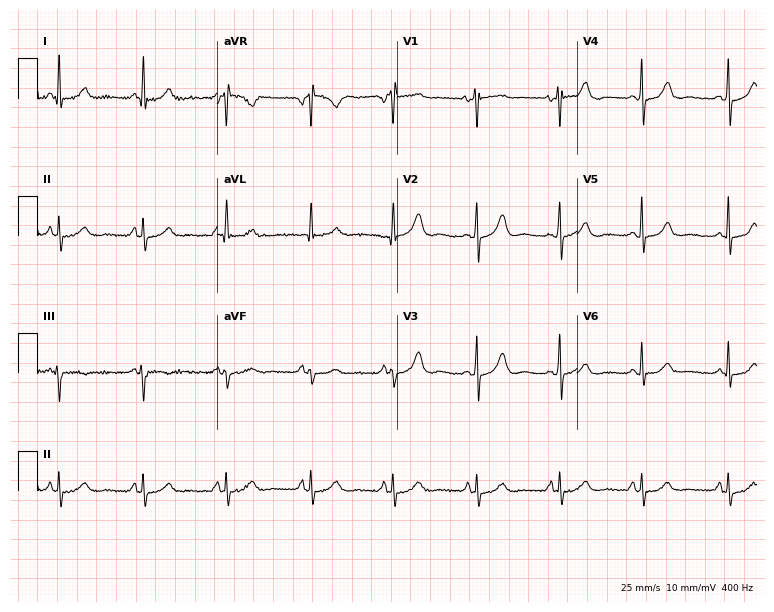
12-lead ECG from a female patient, 67 years old (7.3-second recording at 400 Hz). No first-degree AV block, right bundle branch block, left bundle branch block, sinus bradycardia, atrial fibrillation or sinus tachycardia recorded for this tracing. Other findings, if any, are not listed.